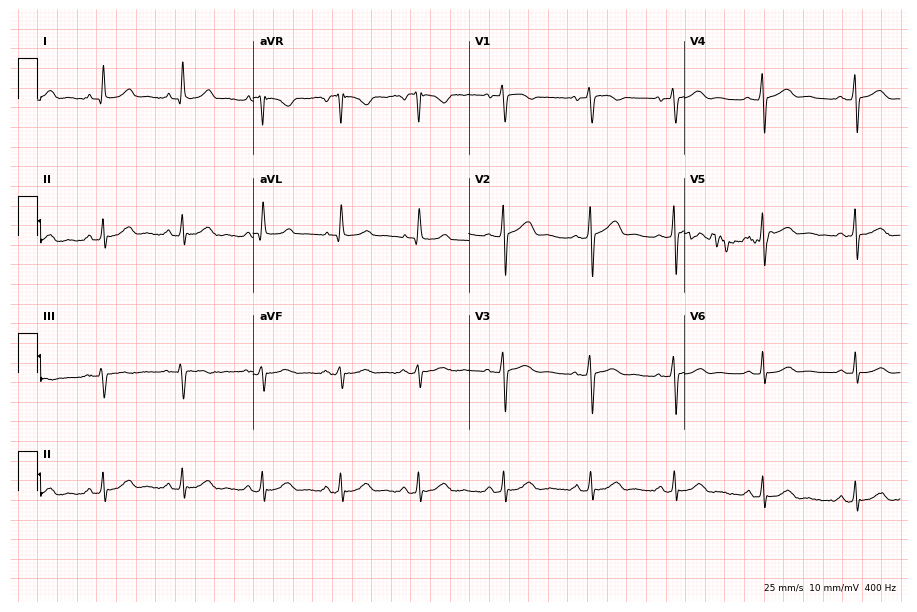
Standard 12-lead ECG recorded from a 49-year-old woman. Read as a normal ECG.